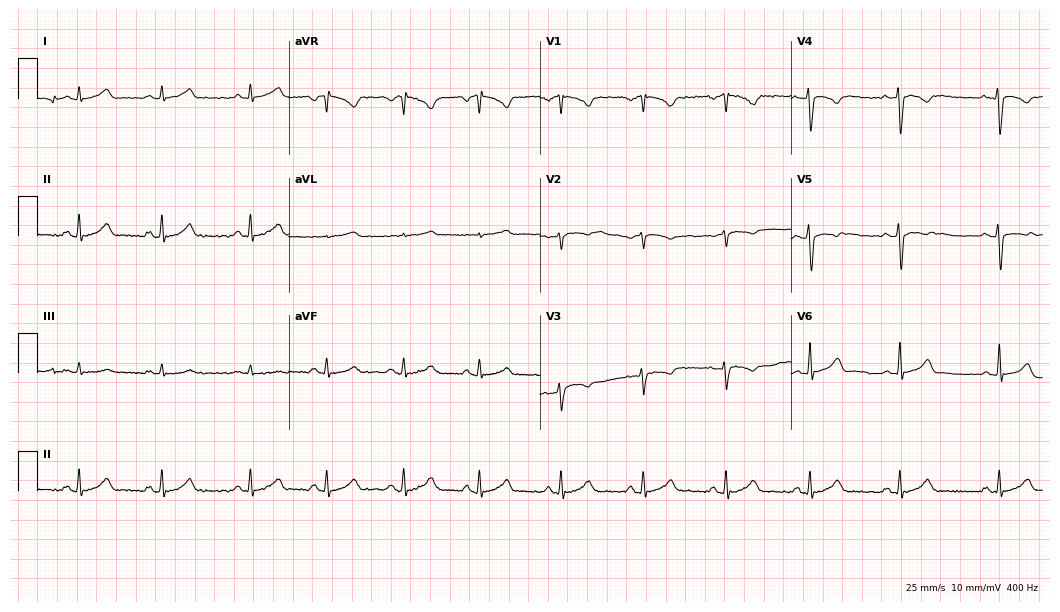
ECG — a 31-year-old woman. Screened for six findings — first-degree AV block, right bundle branch block (RBBB), left bundle branch block (LBBB), sinus bradycardia, atrial fibrillation (AF), sinus tachycardia — none is recorded. Other findings, if any, are not listed.